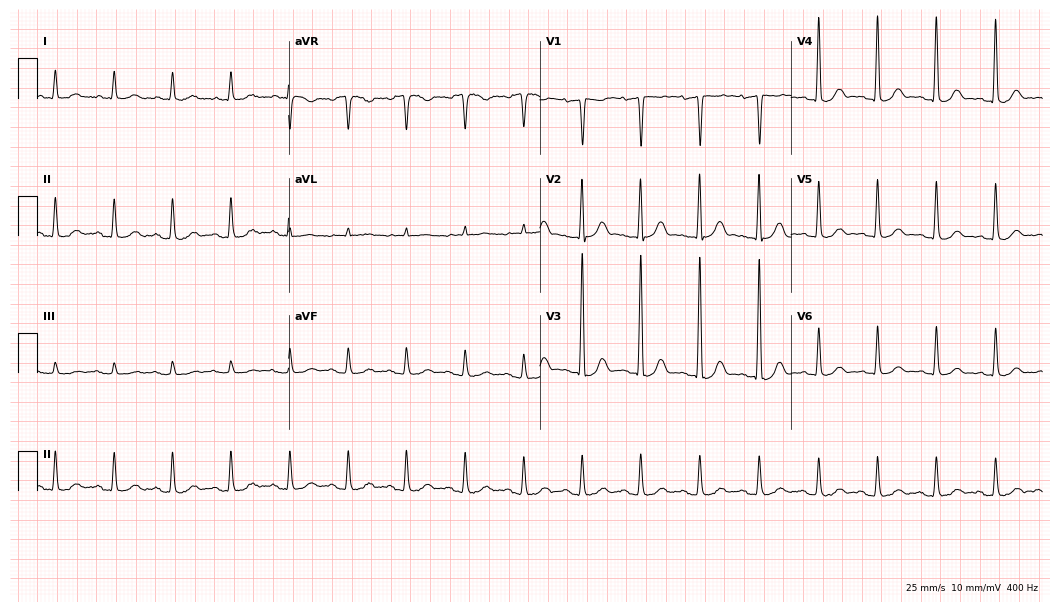
Resting 12-lead electrocardiogram (10.2-second recording at 400 Hz). Patient: a 77-year-old man. Read as a normal ECG.